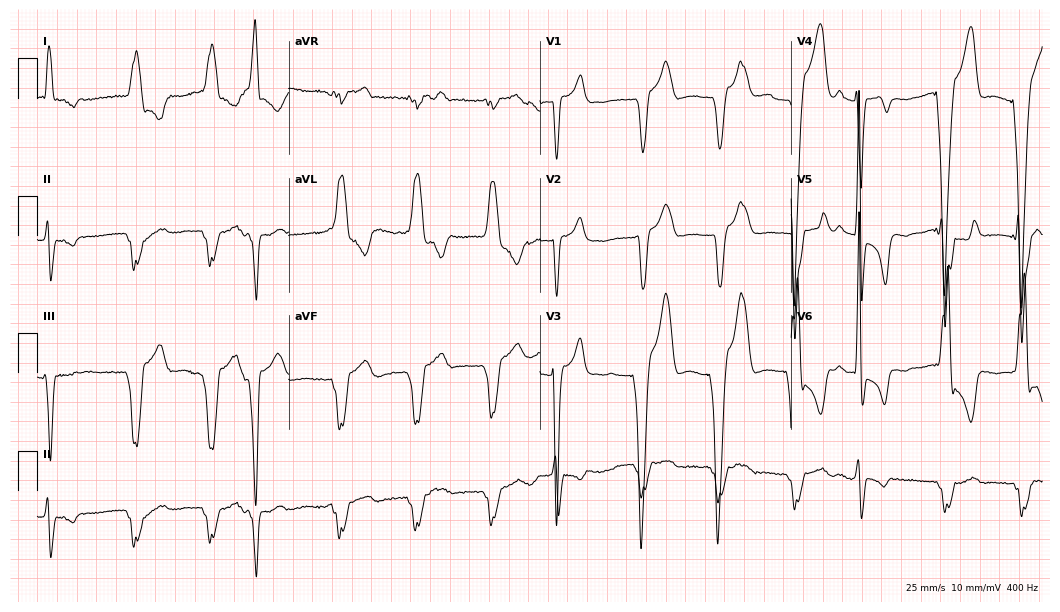
12-lead ECG (10.2-second recording at 400 Hz) from an 80-year-old male. Screened for six findings — first-degree AV block, right bundle branch block, left bundle branch block, sinus bradycardia, atrial fibrillation, sinus tachycardia — none is recorded. Findings outside these six are not listed.